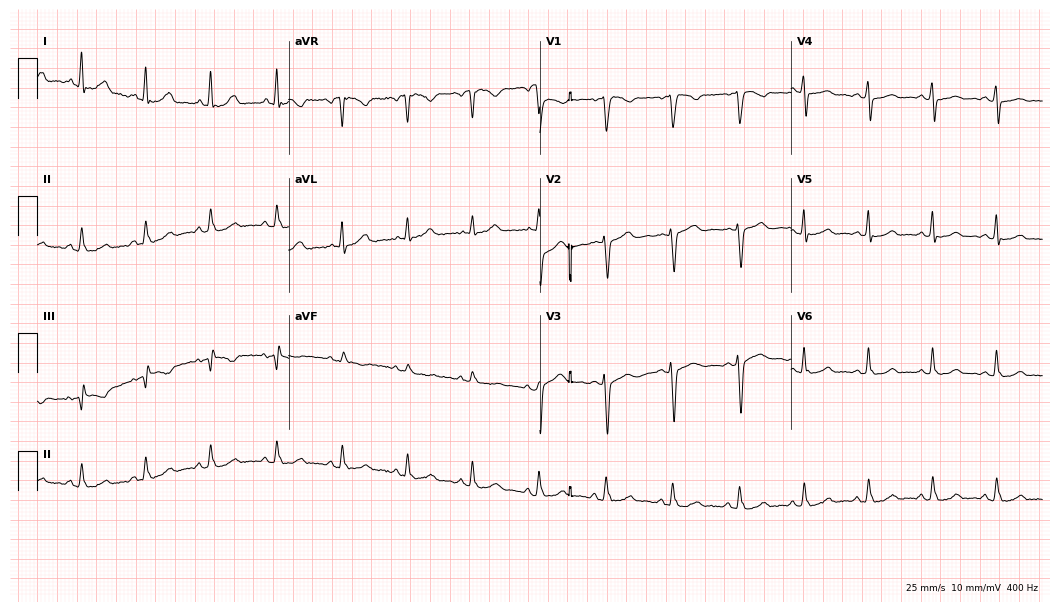
12-lead ECG (10.2-second recording at 400 Hz) from a 41-year-old female. Labelled as a normal ECG.